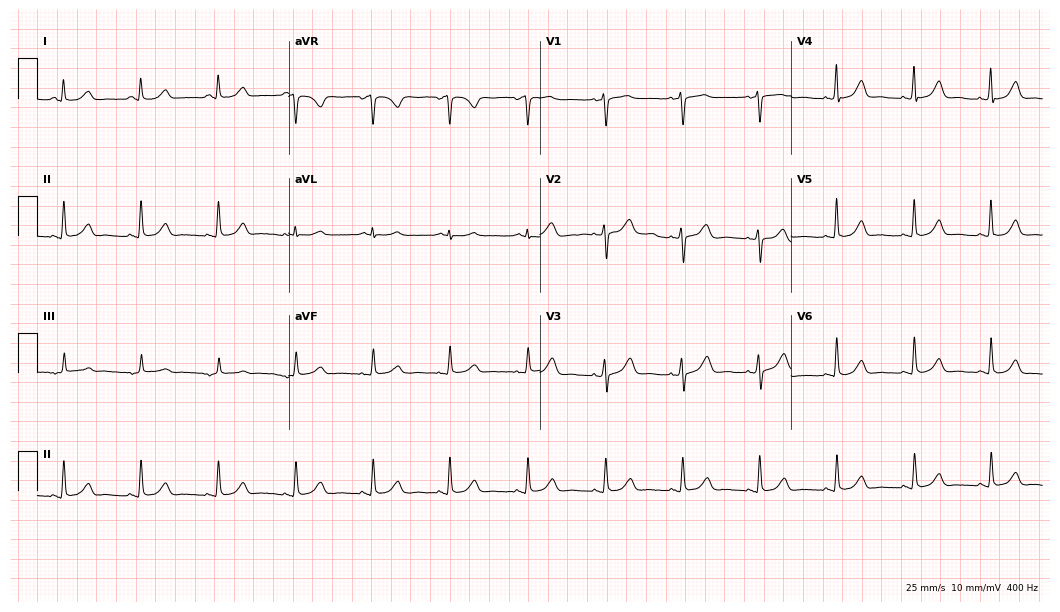
Electrocardiogram, a female, 65 years old. Overall reading on record: normal ECG.